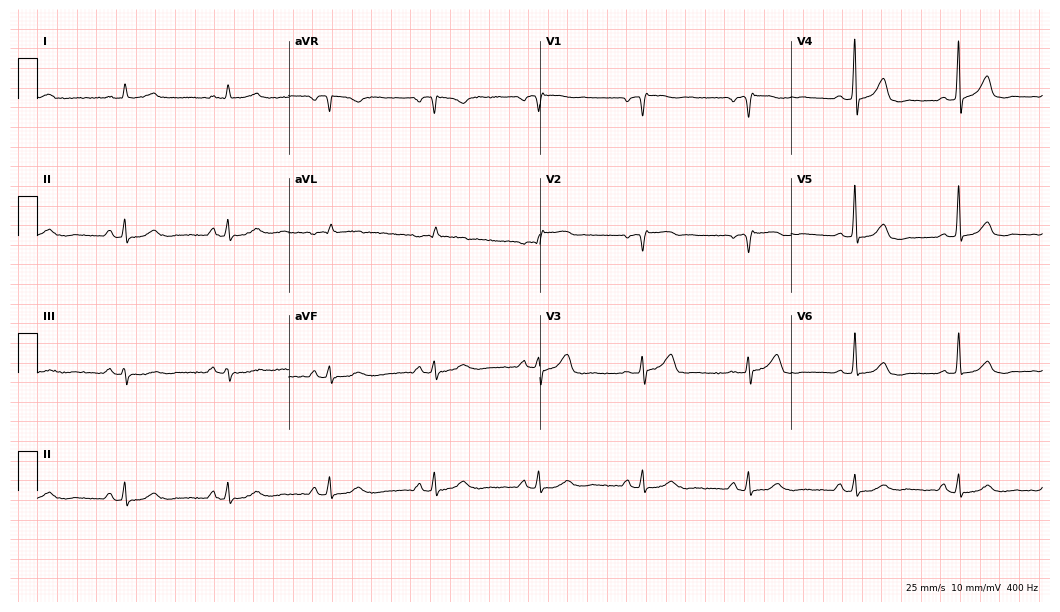
Standard 12-lead ECG recorded from a 75-year-old man. None of these six findings is recorded: first-degree AV block, right bundle branch block, left bundle branch block, sinus bradycardia, atrial fibrillation, sinus tachycardia. Only these six findings were labelled.